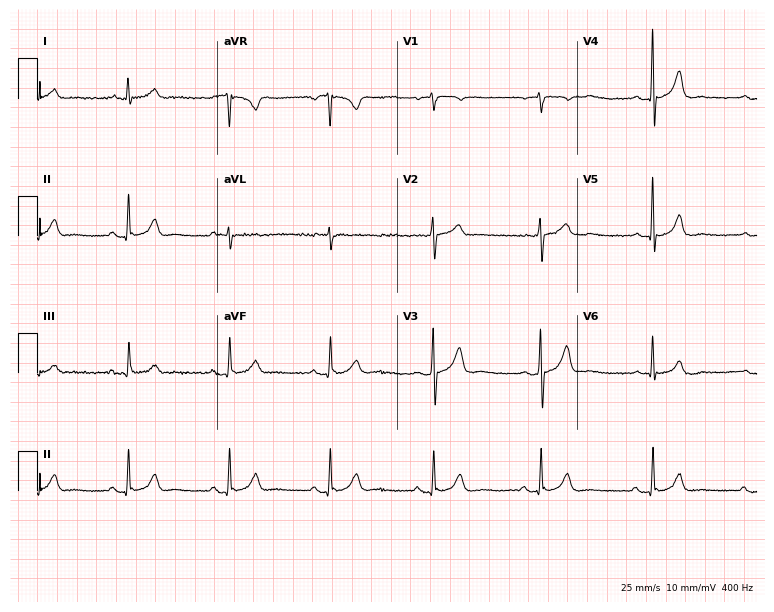
12-lead ECG from a man, 60 years old. No first-degree AV block, right bundle branch block (RBBB), left bundle branch block (LBBB), sinus bradycardia, atrial fibrillation (AF) or sinus tachycardia recorded for this tracing. Findings outside these six are not listed.